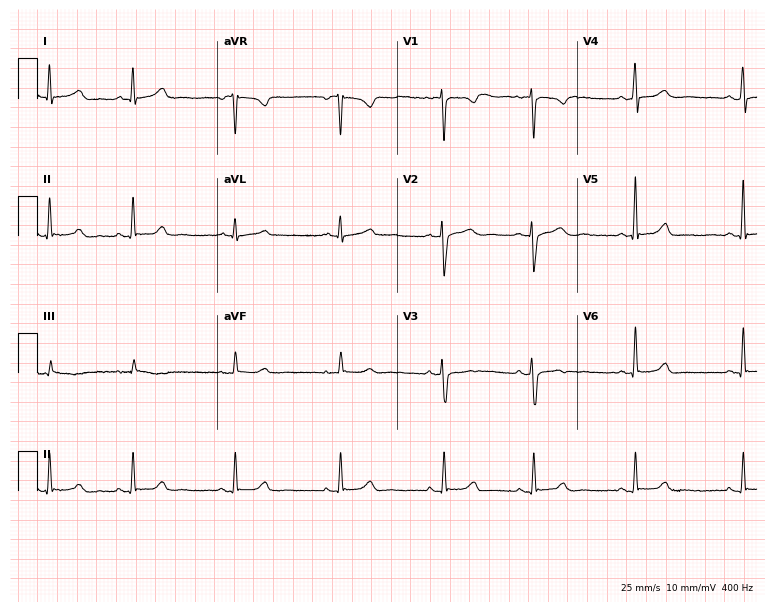
ECG — a female patient, 28 years old. Labelled as a normal ECG.